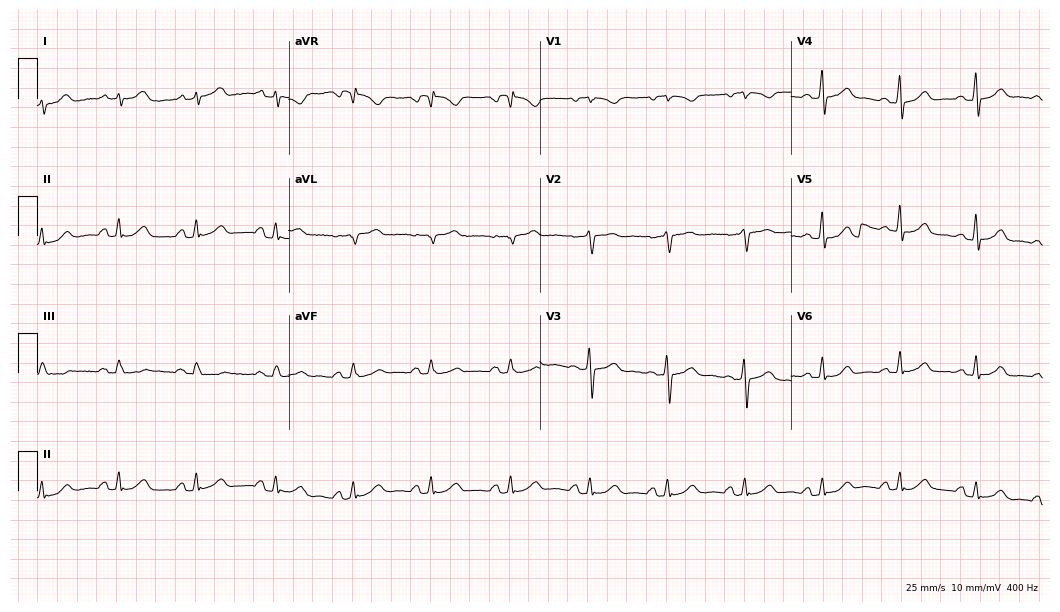
Standard 12-lead ECG recorded from a female patient, 38 years old (10.2-second recording at 400 Hz). Read as a normal ECG.